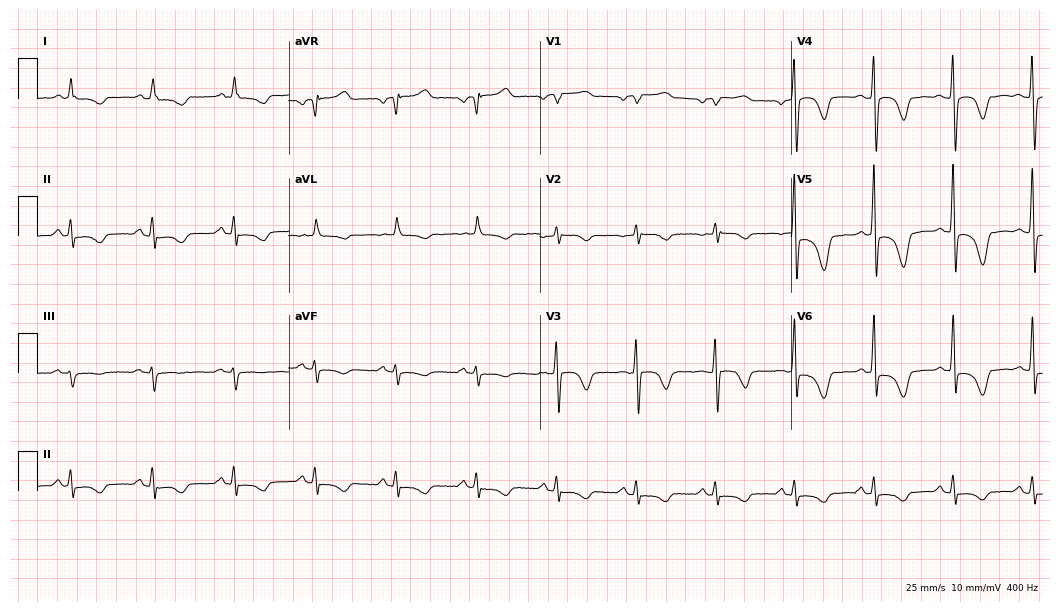
Resting 12-lead electrocardiogram (10.2-second recording at 400 Hz). Patient: a 72-year-old male. None of these six findings is recorded: first-degree AV block, right bundle branch block, left bundle branch block, sinus bradycardia, atrial fibrillation, sinus tachycardia.